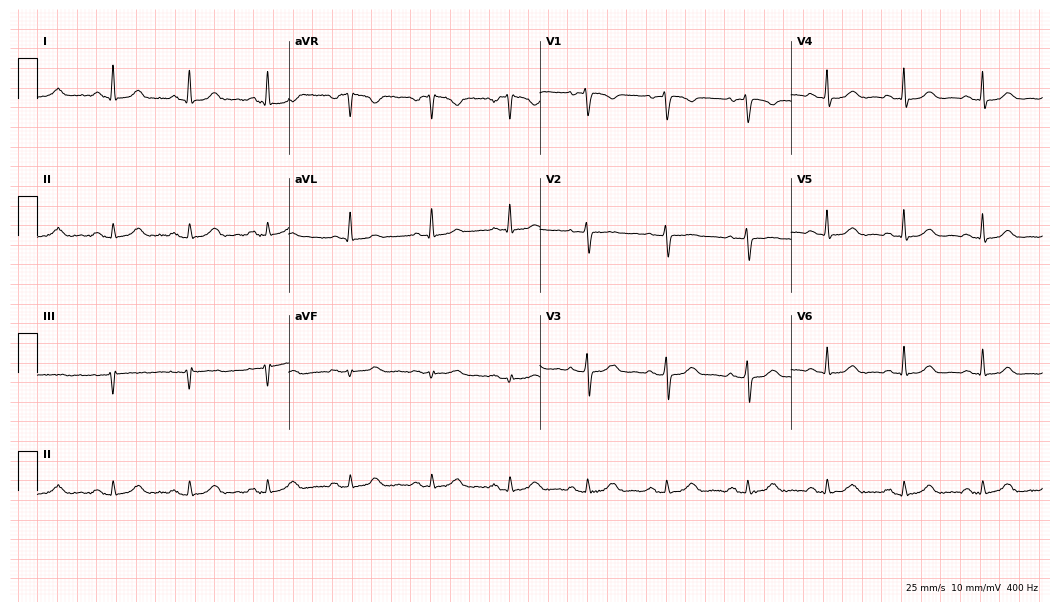
Standard 12-lead ECG recorded from a 41-year-old female patient (10.2-second recording at 400 Hz). Read as a normal ECG.